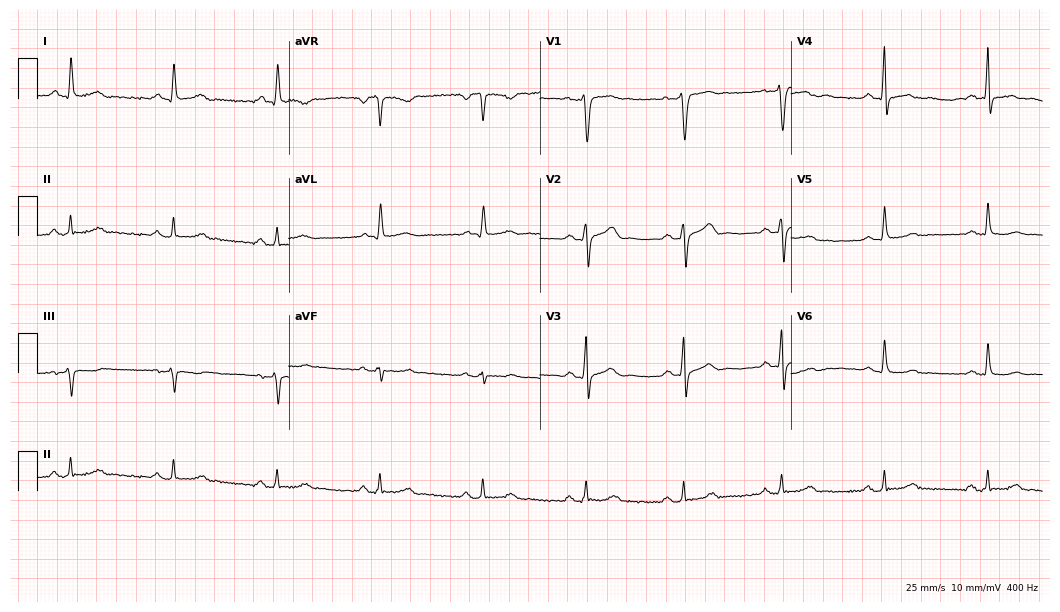
12-lead ECG from a 53-year-old man. Recorded interpretation: within normal limits.